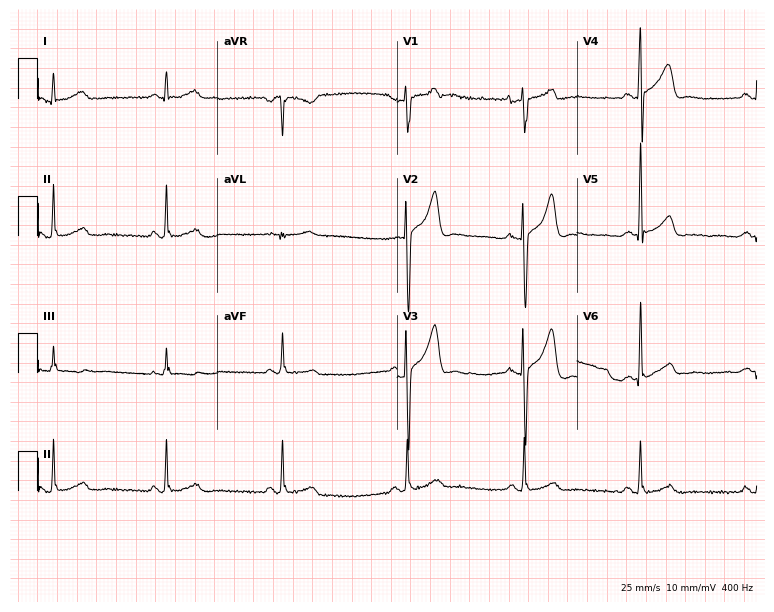
Electrocardiogram, a 36-year-old male patient. Overall reading on record: normal ECG.